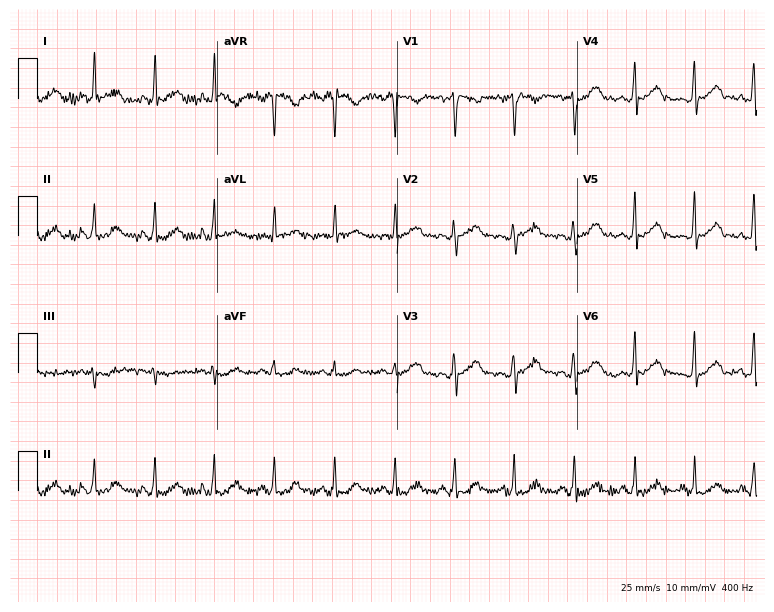
Resting 12-lead electrocardiogram. Patient: a female, 32 years old. None of these six findings is recorded: first-degree AV block, right bundle branch block, left bundle branch block, sinus bradycardia, atrial fibrillation, sinus tachycardia.